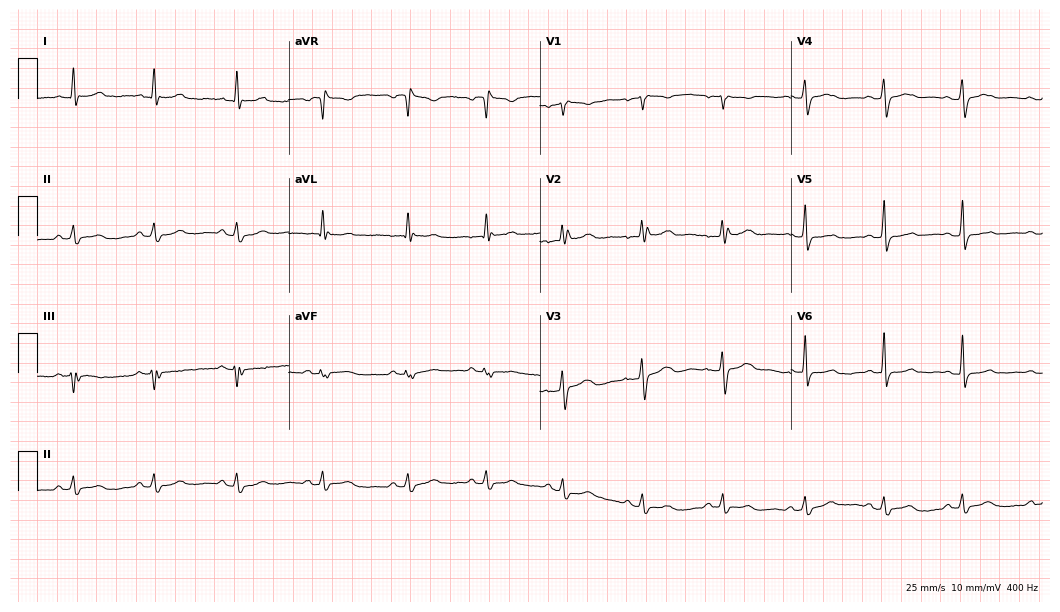
Standard 12-lead ECG recorded from a 40-year-old female (10.2-second recording at 400 Hz). None of these six findings is recorded: first-degree AV block, right bundle branch block, left bundle branch block, sinus bradycardia, atrial fibrillation, sinus tachycardia.